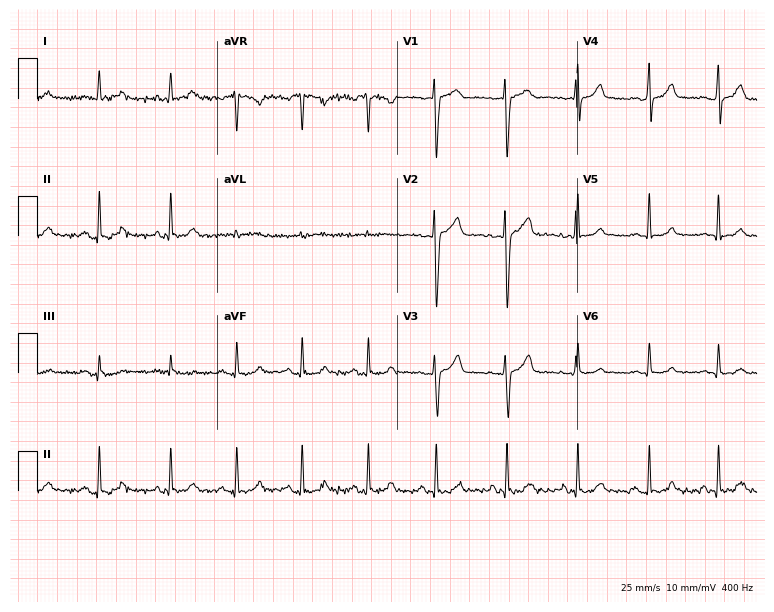
Resting 12-lead electrocardiogram. Patient: a 40-year-old female. Read as a normal ECG.